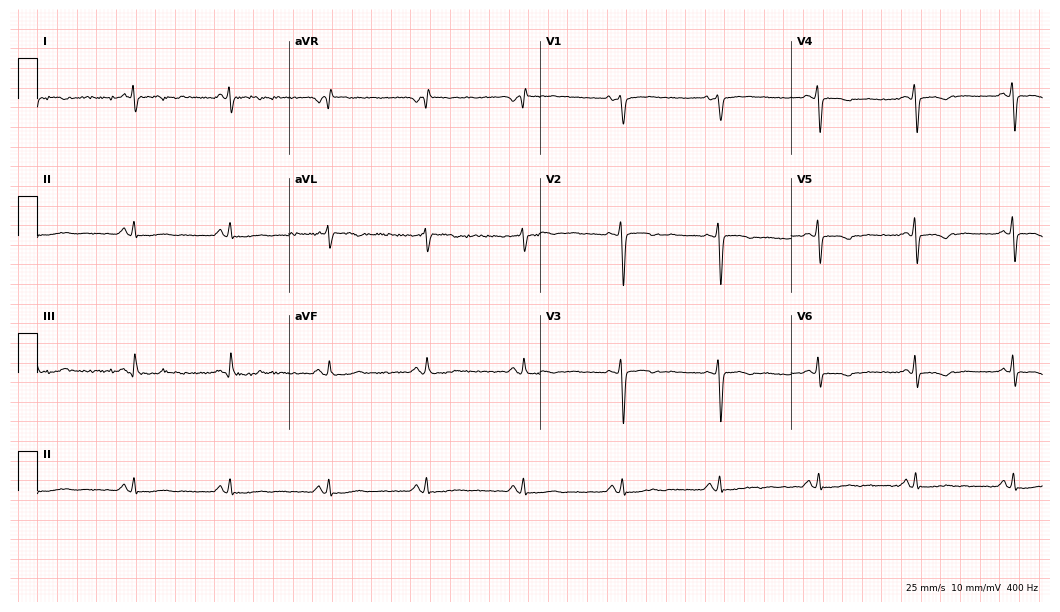
Standard 12-lead ECG recorded from a female, 49 years old (10.2-second recording at 400 Hz). None of these six findings is recorded: first-degree AV block, right bundle branch block, left bundle branch block, sinus bradycardia, atrial fibrillation, sinus tachycardia.